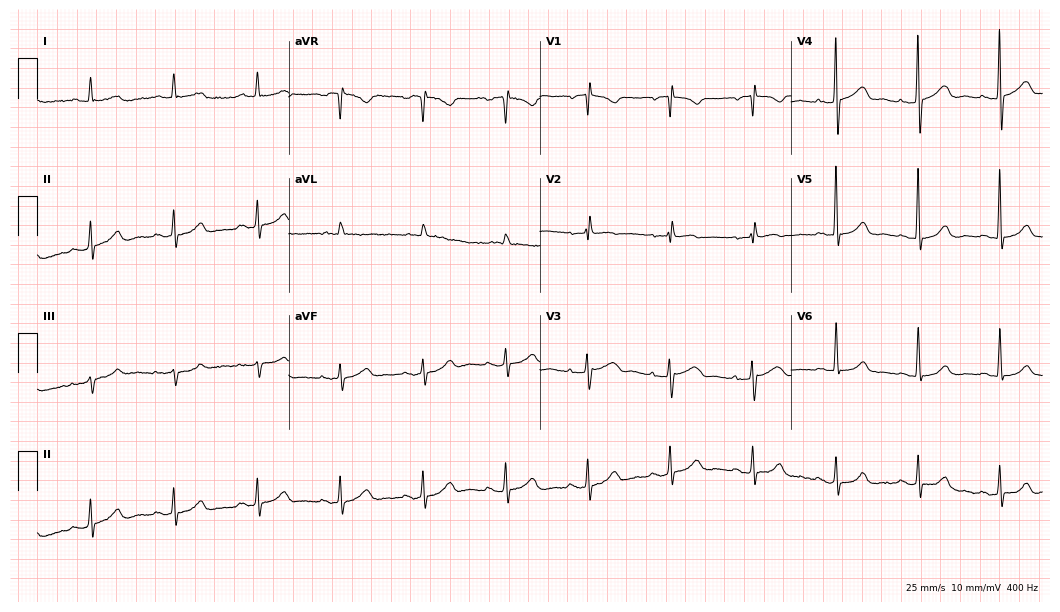
12-lead ECG from an 82-year-old female. No first-degree AV block, right bundle branch block, left bundle branch block, sinus bradycardia, atrial fibrillation or sinus tachycardia recorded for this tracing. Other findings, if any, are not listed.